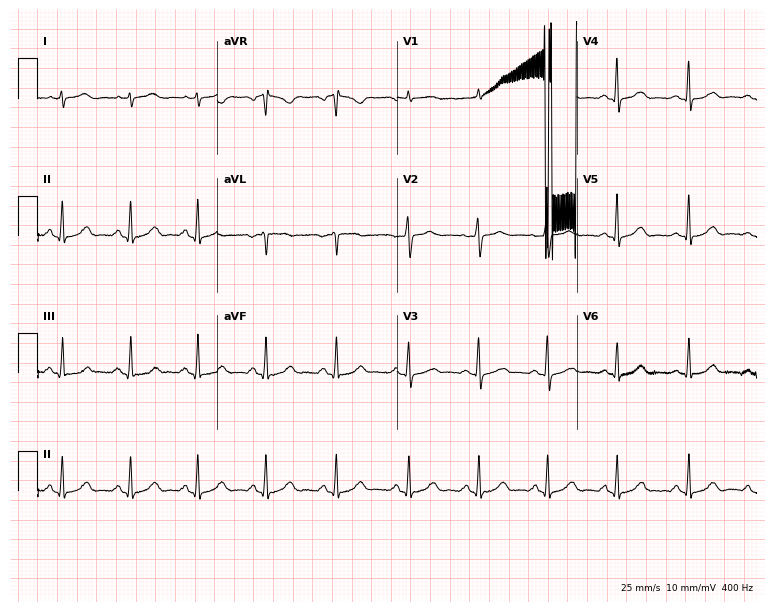
Resting 12-lead electrocardiogram. Patient: a 39-year-old female. None of these six findings is recorded: first-degree AV block, right bundle branch block, left bundle branch block, sinus bradycardia, atrial fibrillation, sinus tachycardia.